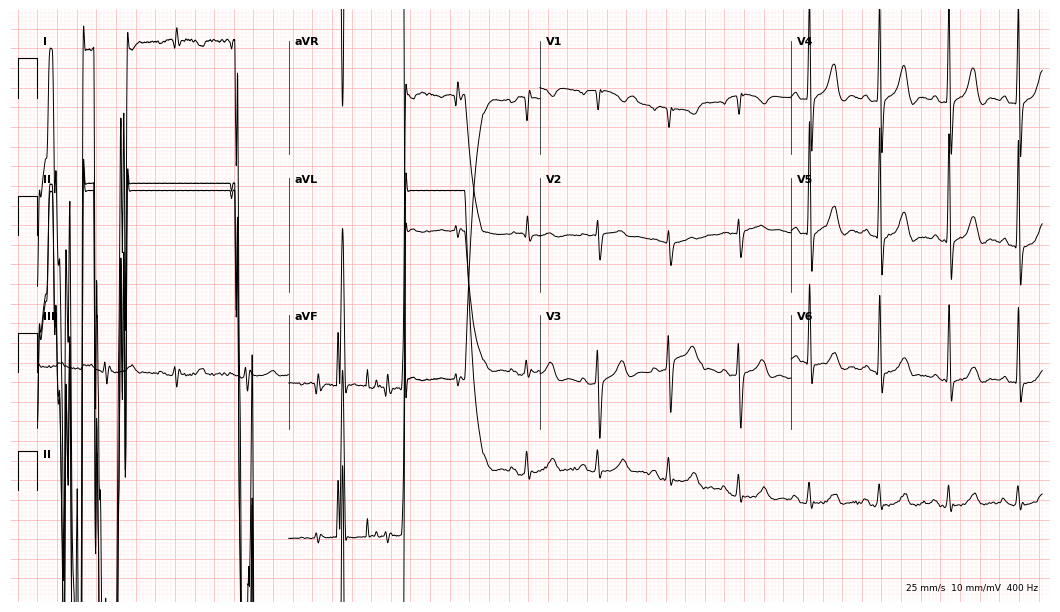
Resting 12-lead electrocardiogram (10.2-second recording at 400 Hz). Patient: a 68-year-old male. None of these six findings is recorded: first-degree AV block, right bundle branch block (RBBB), left bundle branch block (LBBB), sinus bradycardia, atrial fibrillation (AF), sinus tachycardia.